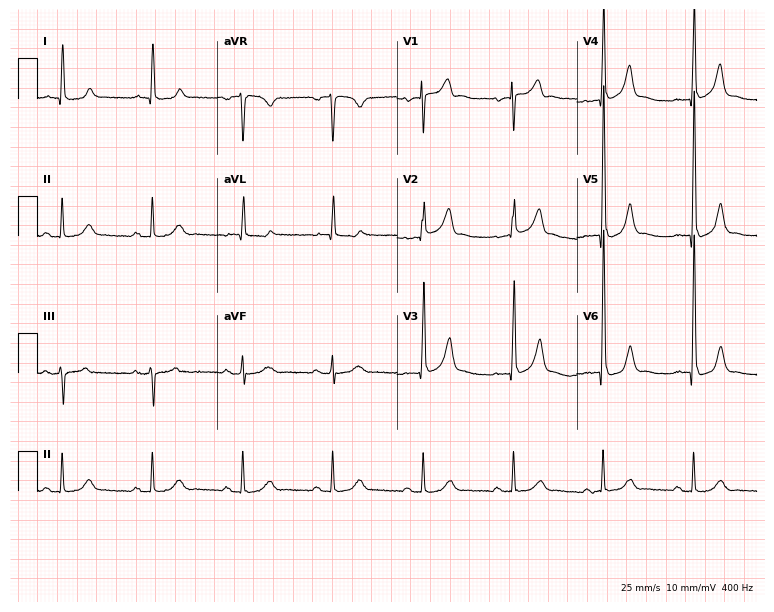
Electrocardiogram, a male patient, 78 years old. Of the six screened findings (first-degree AV block, right bundle branch block, left bundle branch block, sinus bradycardia, atrial fibrillation, sinus tachycardia), none is recorded. Only these six findings were labelled.